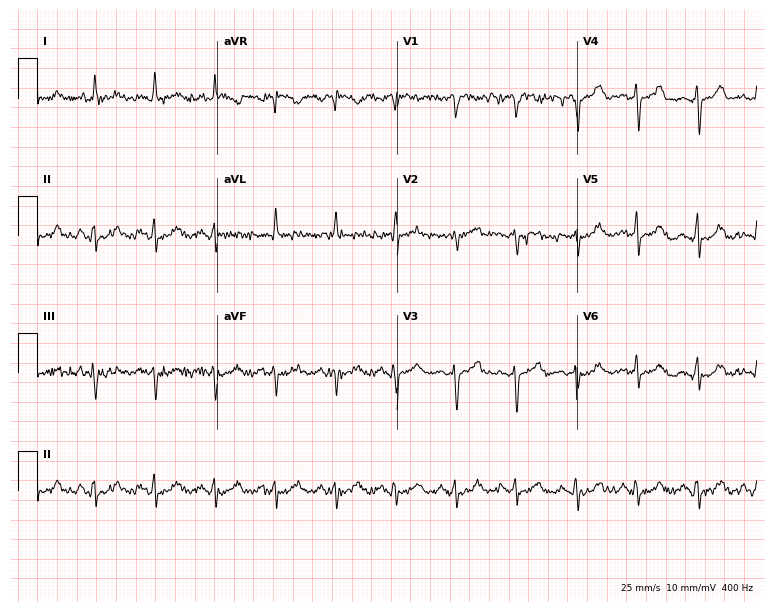
Electrocardiogram, a 75-year-old woman. Of the six screened findings (first-degree AV block, right bundle branch block, left bundle branch block, sinus bradycardia, atrial fibrillation, sinus tachycardia), none is recorded. Other findings, if any, are not listed.